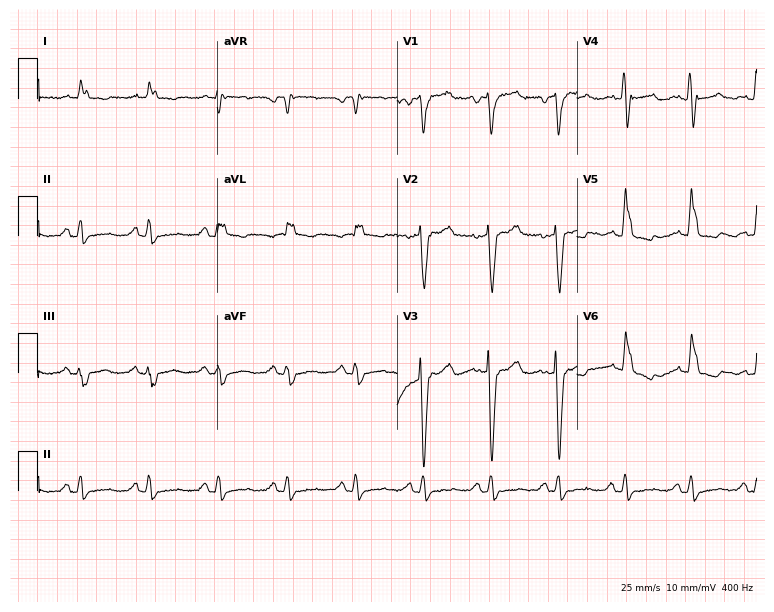
12-lead ECG from a 51-year-old man (7.3-second recording at 400 Hz). Shows left bundle branch block.